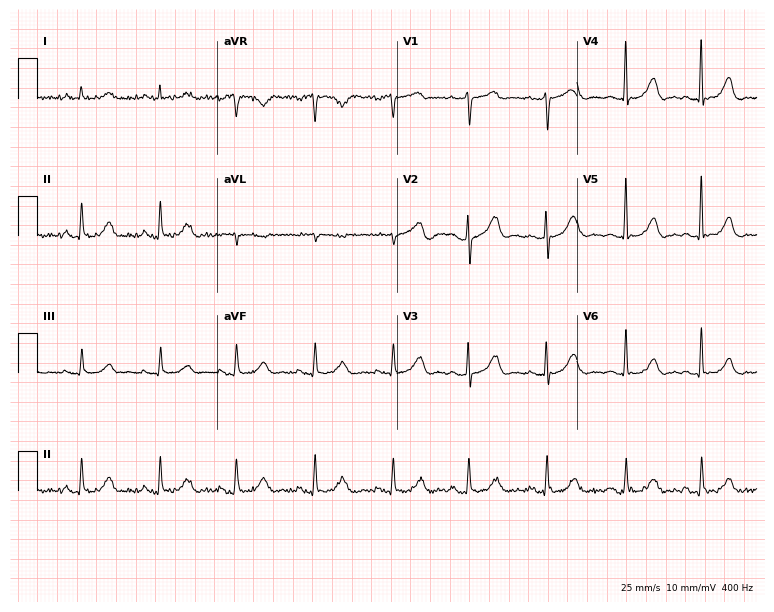
12-lead ECG from a woman, 56 years old (7.3-second recording at 400 Hz). Recorded interpretation: within normal limits.